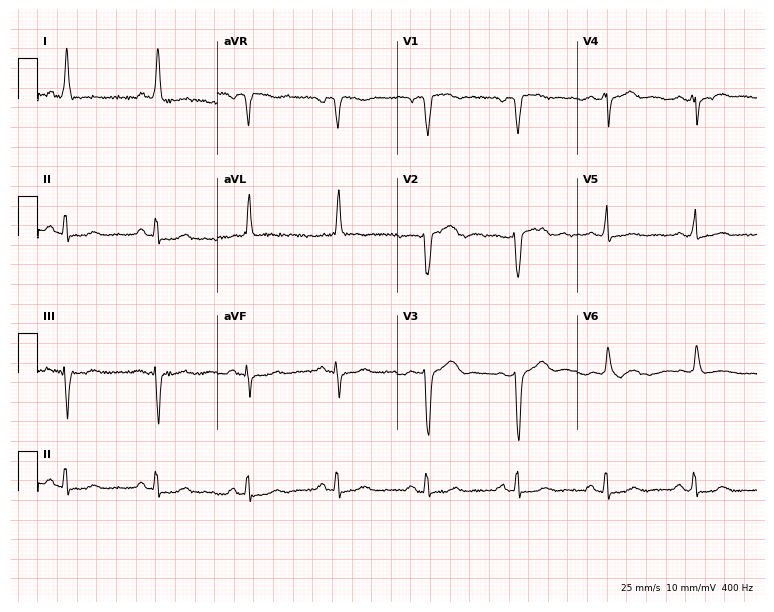
ECG — a man, 48 years old. Screened for six findings — first-degree AV block, right bundle branch block, left bundle branch block, sinus bradycardia, atrial fibrillation, sinus tachycardia — none is recorded.